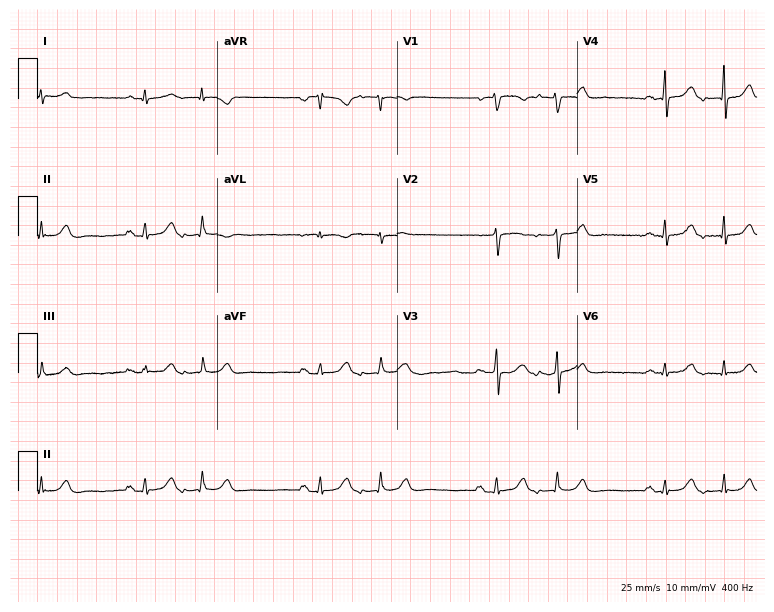
Electrocardiogram, a 53-year-old woman. Of the six screened findings (first-degree AV block, right bundle branch block, left bundle branch block, sinus bradycardia, atrial fibrillation, sinus tachycardia), none is recorded.